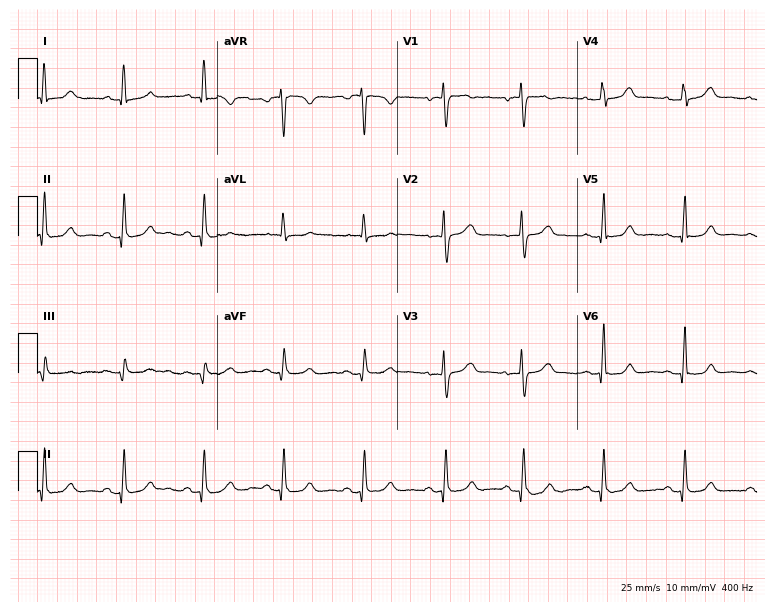
12-lead ECG from a 47-year-old female patient (7.3-second recording at 400 Hz). Recorded interpretation: within normal limits.